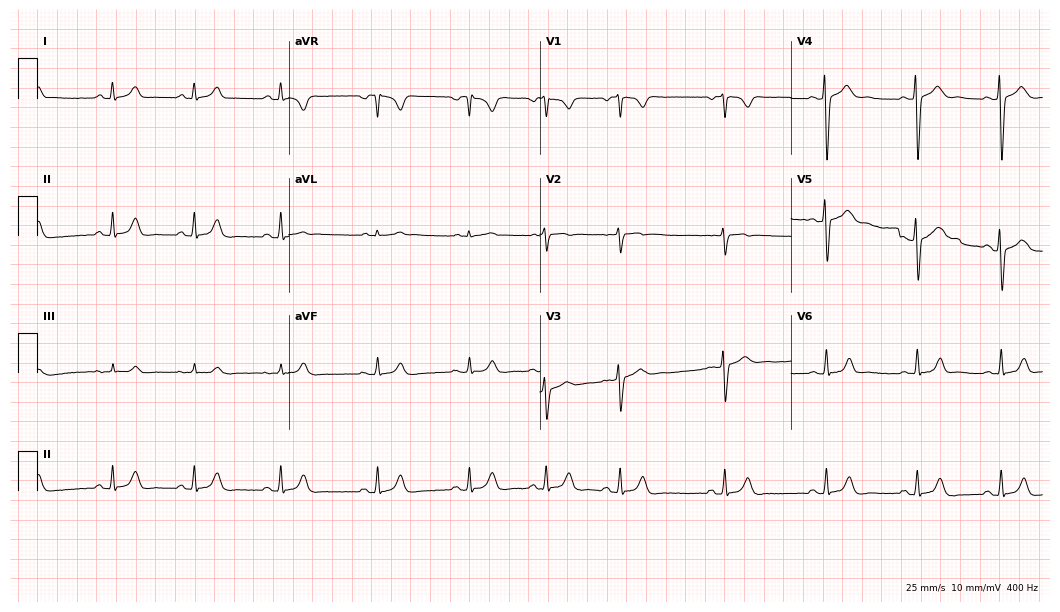
12-lead ECG from a female, 25 years old. Recorded interpretation: within normal limits.